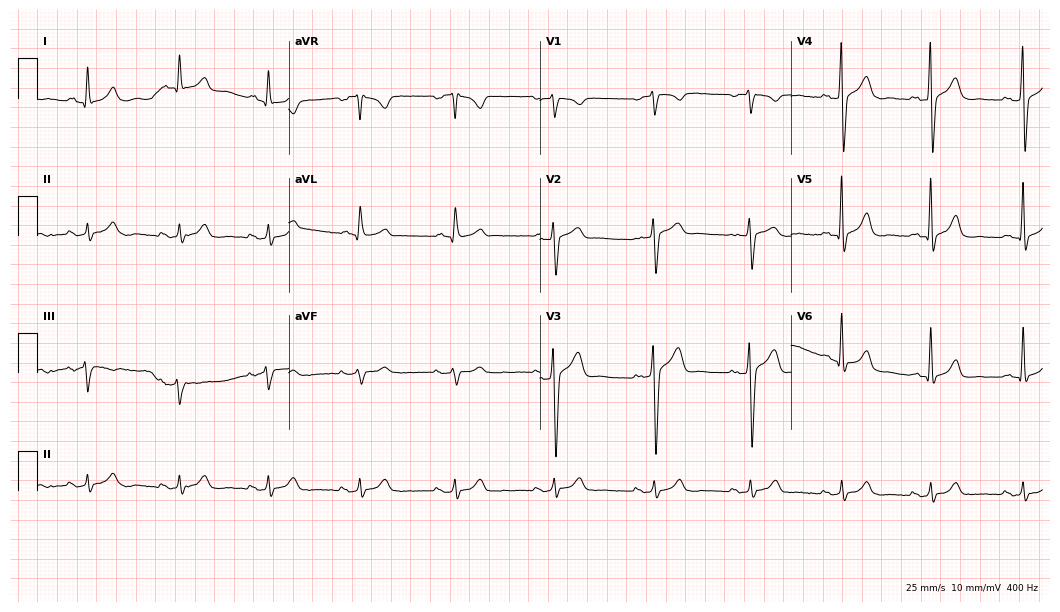
Standard 12-lead ECG recorded from a 54-year-old male (10.2-second recording at 400 Hz). None of these six findings is recorded: first-degree AV block, right bundle branch block, left bundle branch block, sinus bradycardia, atrial fibrillation, sinus tachycardia. Findings outside these six are not listed.